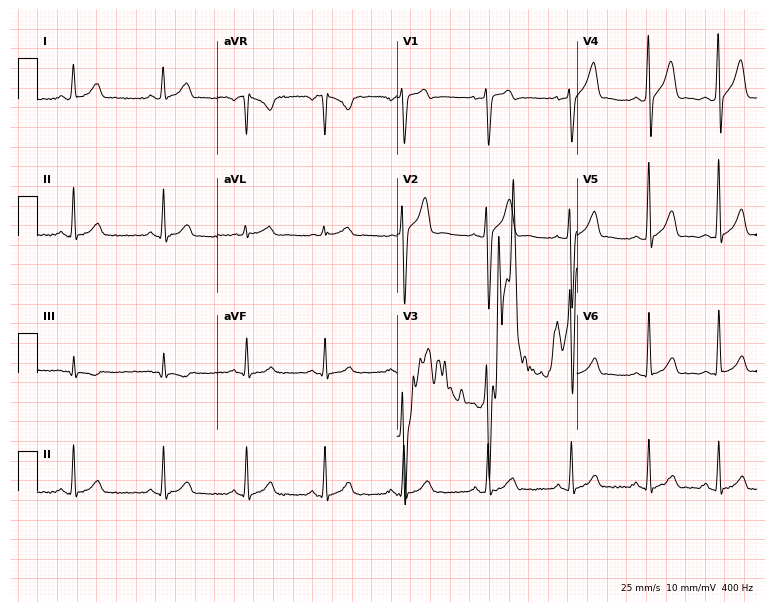
12-lead ECG from a male patient, 27 years old. Screened for six findings — first-degree AV block, right bundle branch block, left bundle branch block, sinus bradycardia, atrial fibrillation, sinus tachycardia — none is recorded. Only these six findings were labelled.